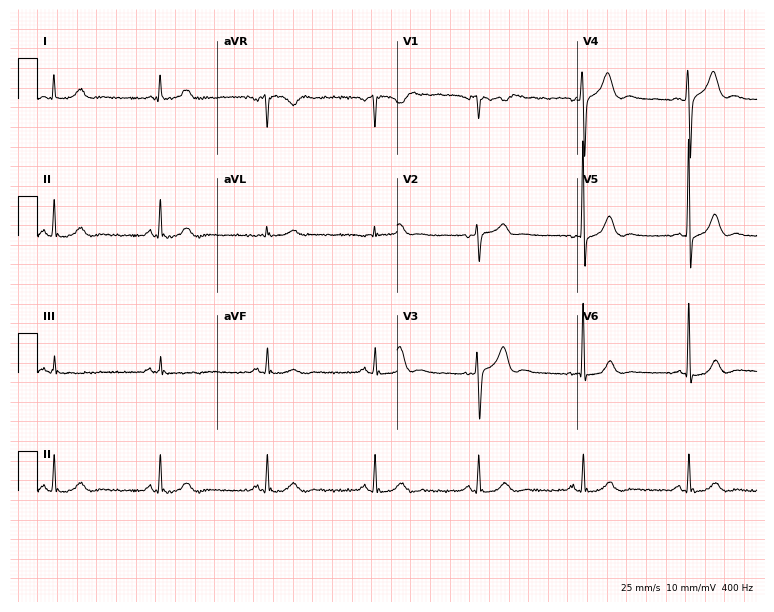
ECG (7.3-second recording at 400 Hz) — a man, 62 years old. Labelled as a normal ECG.